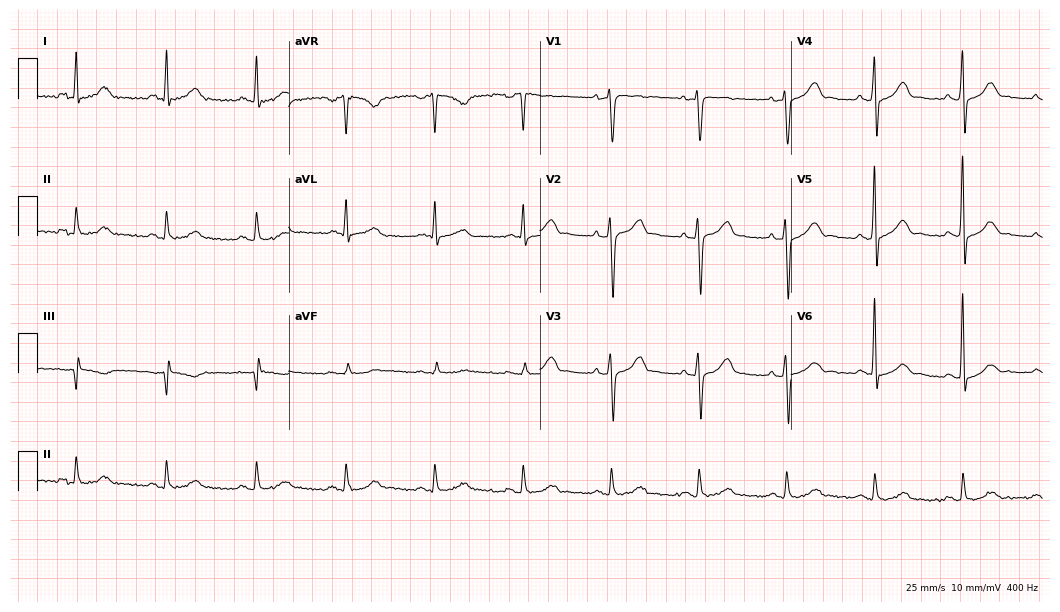
ECG (10.2-second recording at 400 Hz) — a 58-year-old male. Labelled as a normal ECG.